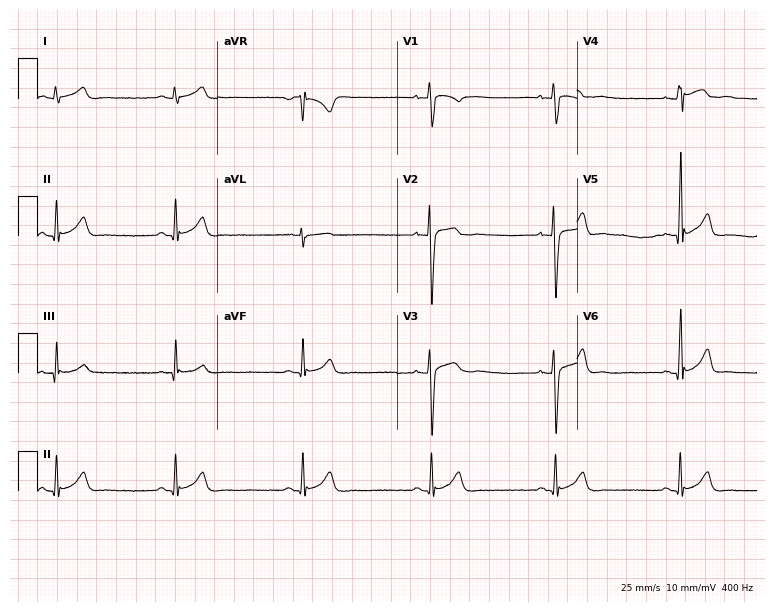
12-lead ECG from a 22-year-old man. Findings include sinus bradycardia (a sinus rate of 50 beats per minute or less).